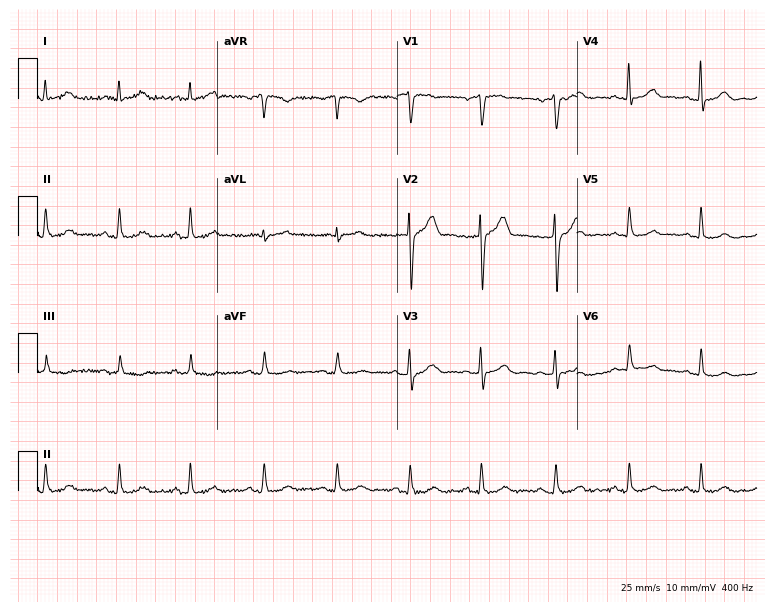
12-lead ECG from a man, 57 years old. Recorded interpretation: within normal limits.